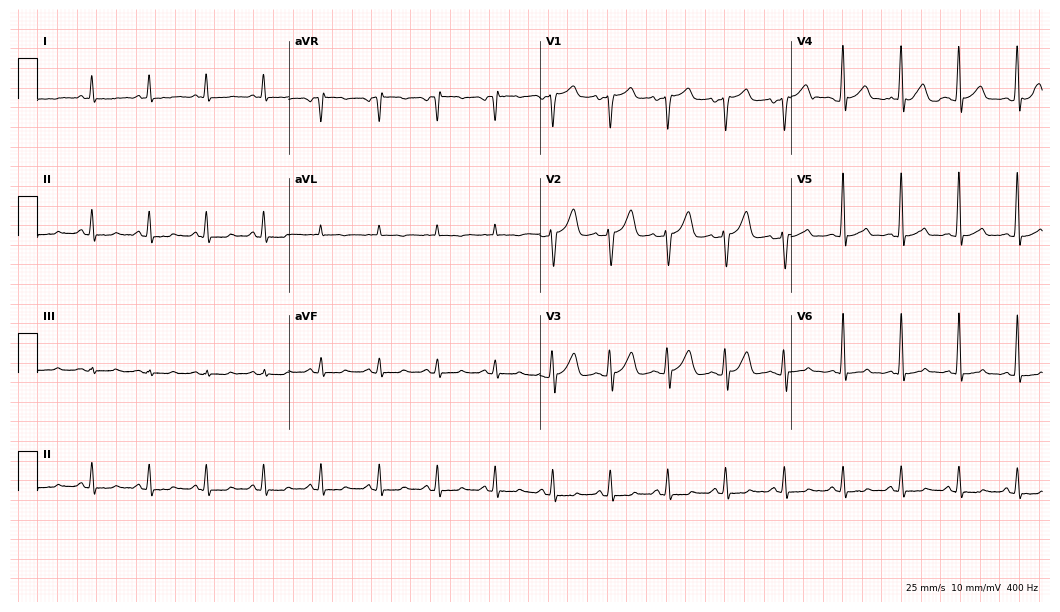
Resting 12-lead electrocardiogram. Patient: a man, 40 years old. The tracing shows sinus tachycardia (a sinus rate of 100 beats per minute or more).